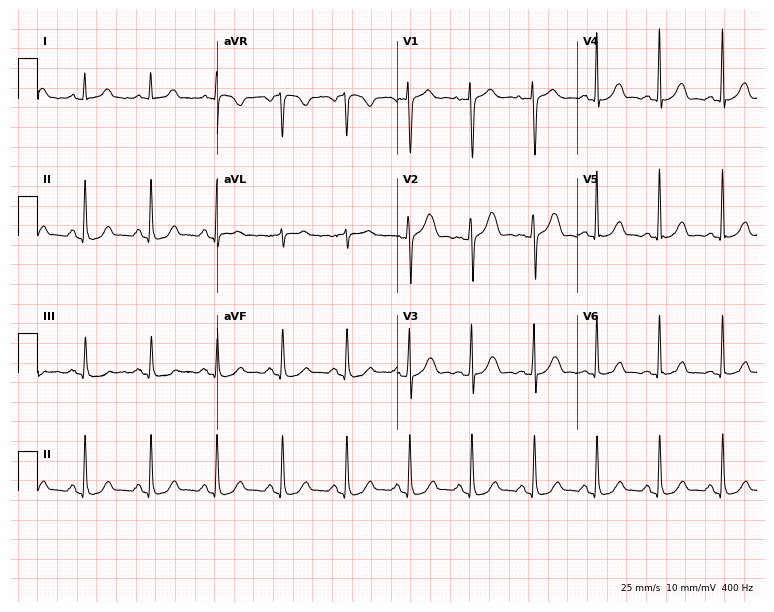
Resting 12-lead electrocardiogram (7.3-second recording at 400 Hz). Patient: a female, 43 years old. Read as a normal ECG.